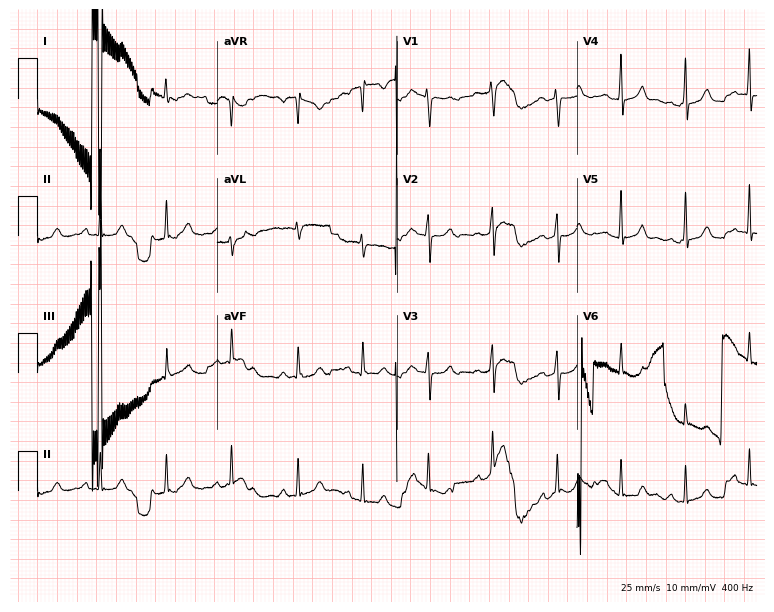
12-lead ECG from a female patient, 29 years old (7.3-second recording at 400 Hz). No first-degree AV block, right bundle branch block, left bundle branch block, sinus bradycardia, atrial fibrillation or sinus tachycardia recorded for this tracing. Other findings, if any, are not listed.